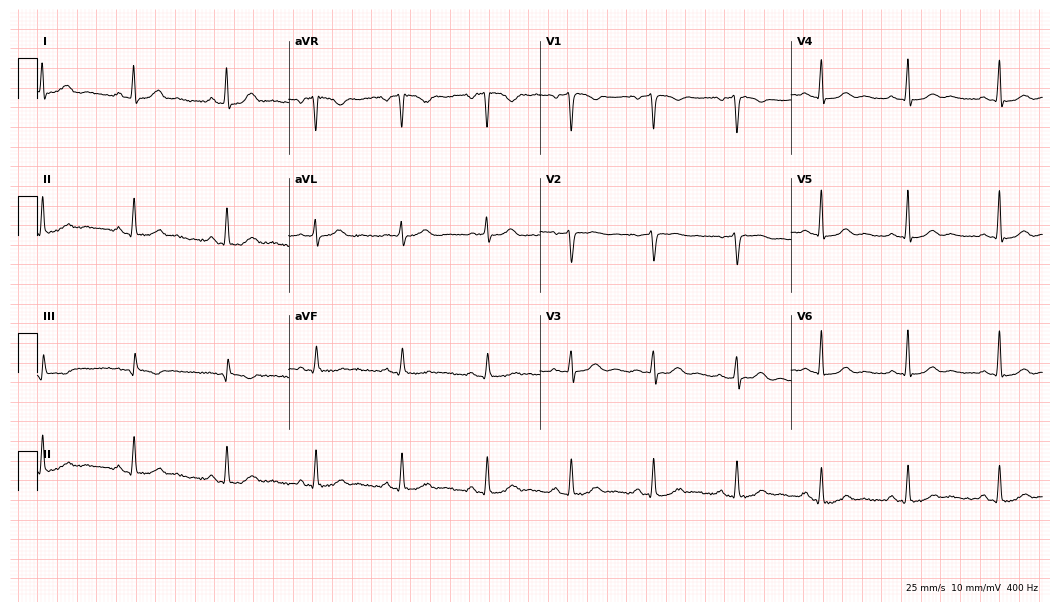
Resting 12-lead electrocardiogram (10.2-second recording at 400 Hz). Patient: a 48-year-old female. None of these six findings is recorded: first-degree AV block, right bundle branch block, left bundle branch block, sinus bradycardia, atrial fibrillation, sinus tachycardia.